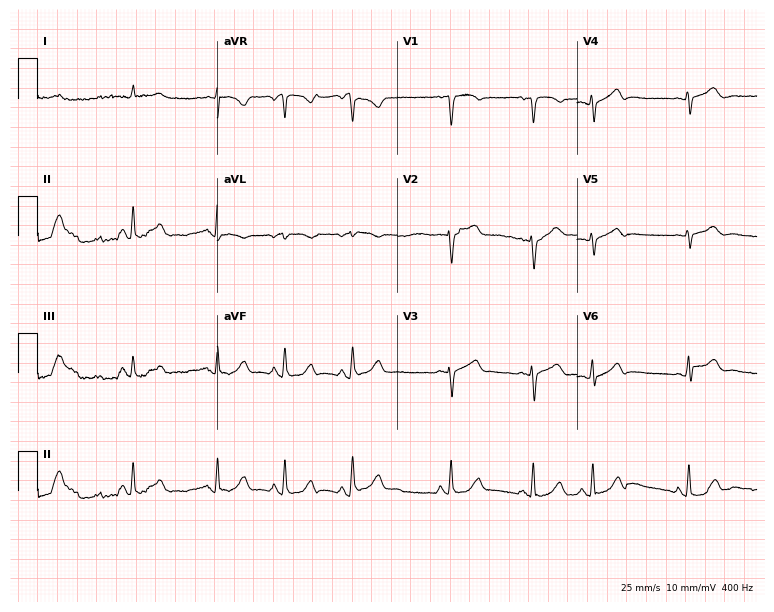
12-lead ECG from a 75-year-old male. Screened for six findings — first-degree AV block, right bundle branch block, left bundle branch block, sinus bradycardia, atrial fibrillation, sinus tachycardia — none is recorded. Only these six findings were labelled.